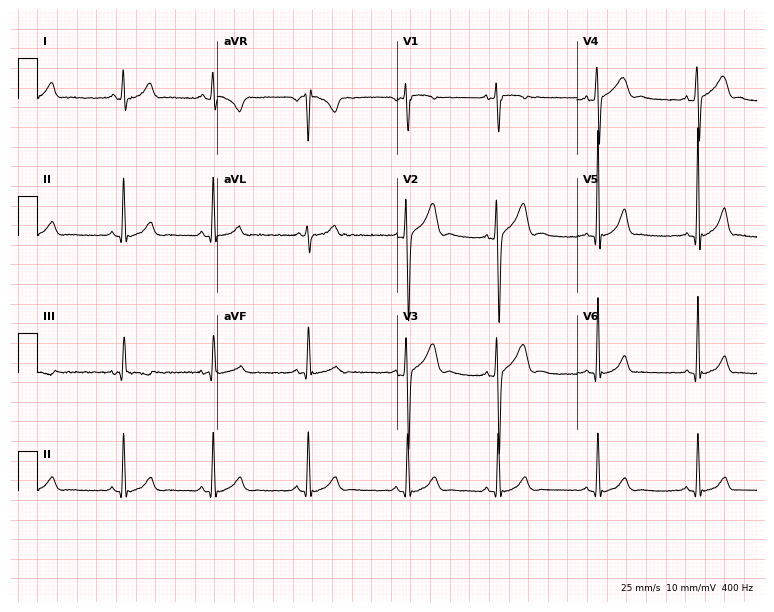
12-lead ECG from a man, 20 years old (7.3-second recording at 400 Hz). No first-degree AV block, right bundle branch block (RBBB), left bundle branch block (LBBB), sinus bradycardia, atrial fibrillation (AF) or sinus tachycardia recorded for this tracing.